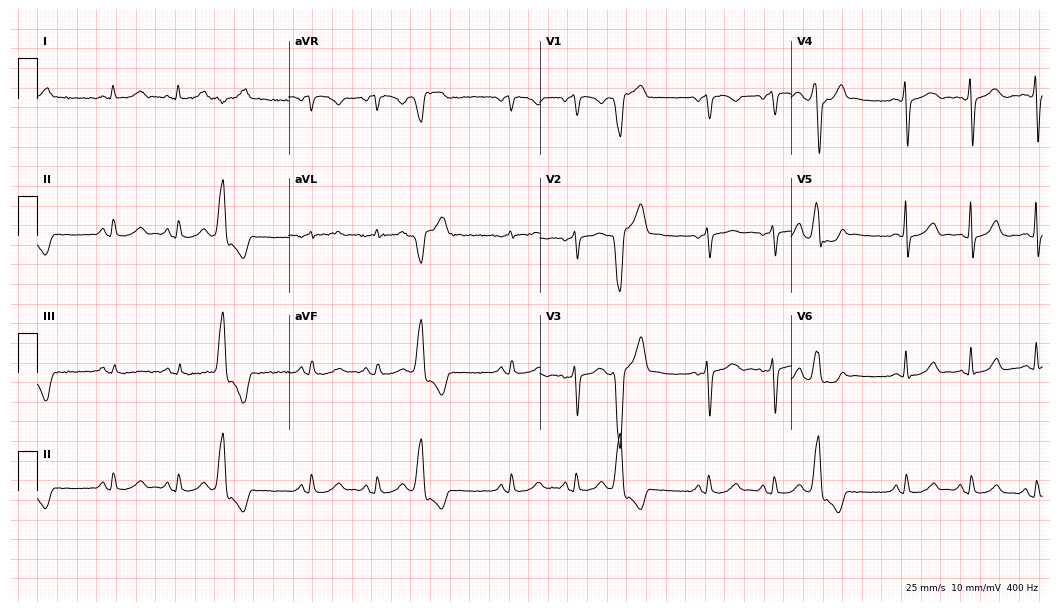
ECG (10.2-second recording at 400 Hz) — a 43-year-old female. Screened for six findings — first-degree AV block, right bundle branch block, left bundle branch block, sinus bradycardia, atrial fibrillation, sinus tachycardia — none is recorded. Findings outside these six are not listed.